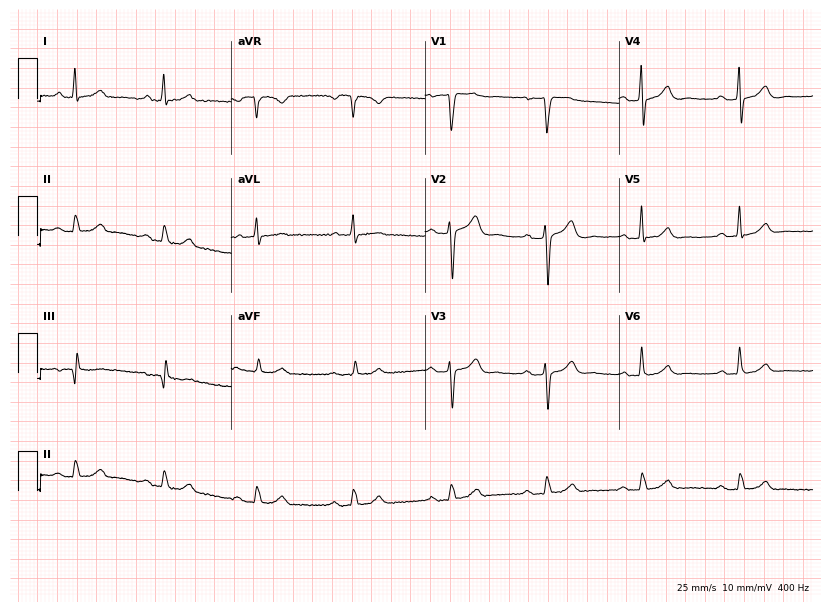
12-lead ECG from a 65-year-old male patient. Findings include first-degree AV block.